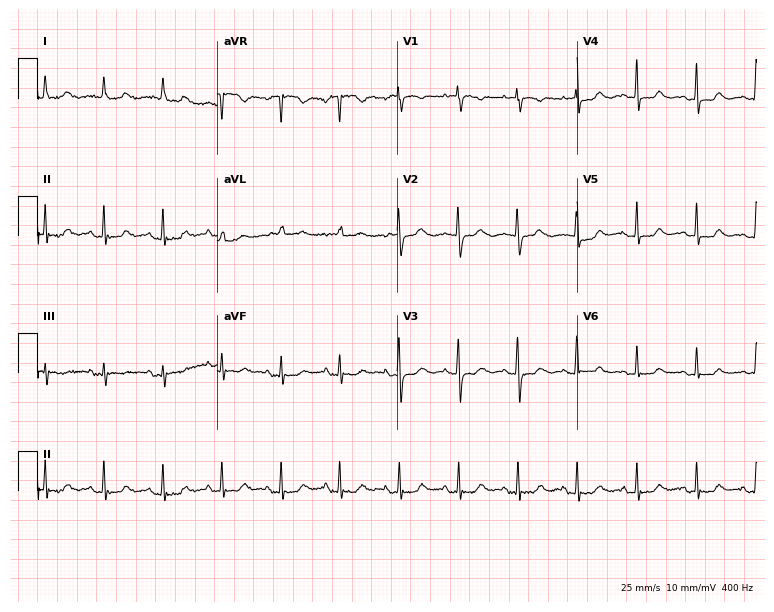
Standard 12-lead ECG recorded from an 85-year-old female. None of these six findings is recorded: first-degree AV block, right bundle branch block, left bundle branch block, sinus bradycardia, atrial fibrillation, sinus tachycardia.